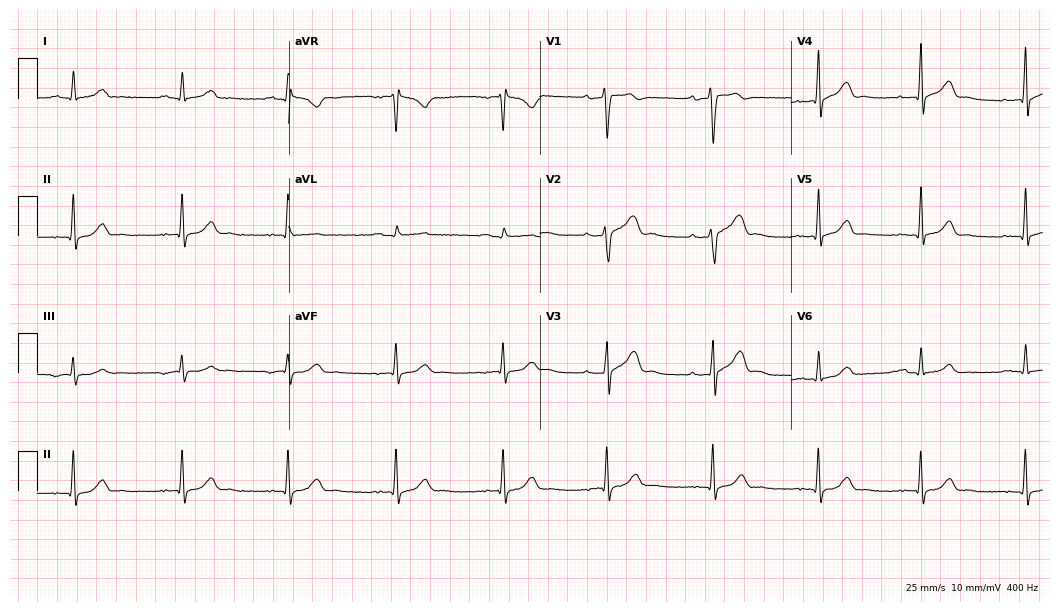
Electrocardiogram, a man, 59 years old. Interpretation includes first-degree AV block.